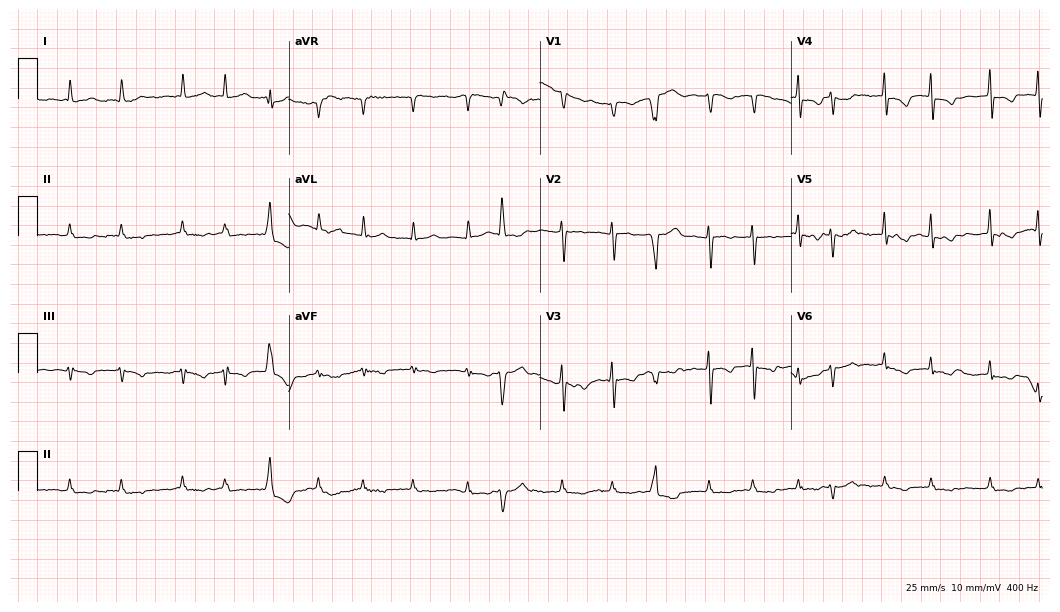
Standard 12-lead ECG recorded from an 83-year-old female patient (10.2-second recording at 400 Hz). The tracing shows atrial fibrillation.